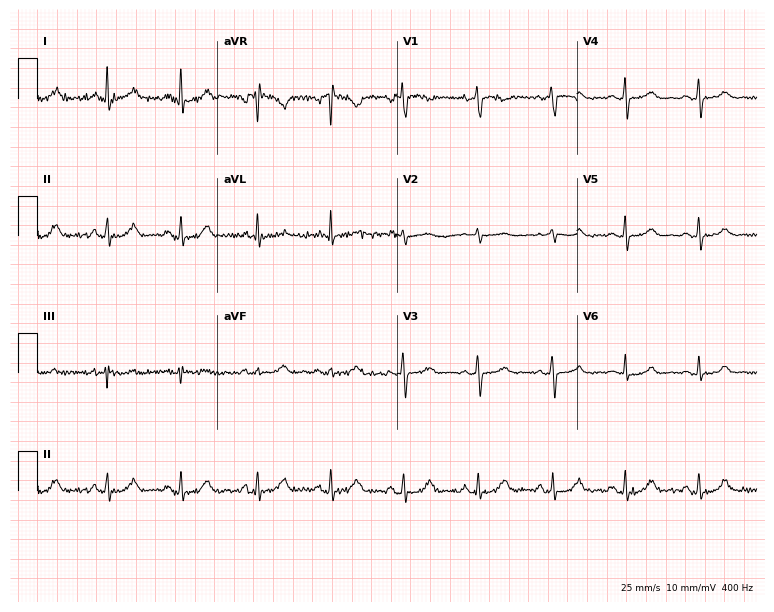
ECG (7.3-second recording at 400 Hz) — a 25-year-old woman. Labelled as a normal ECG.